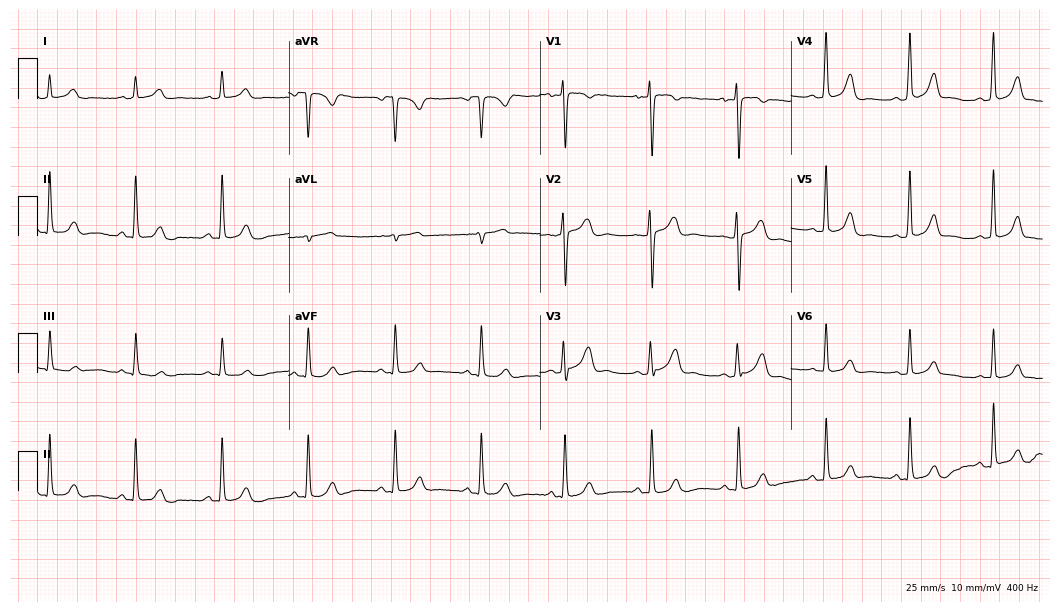
Standard 12-lead ECG recorded from a 32-year-old female patient. Read as a normal ECG.